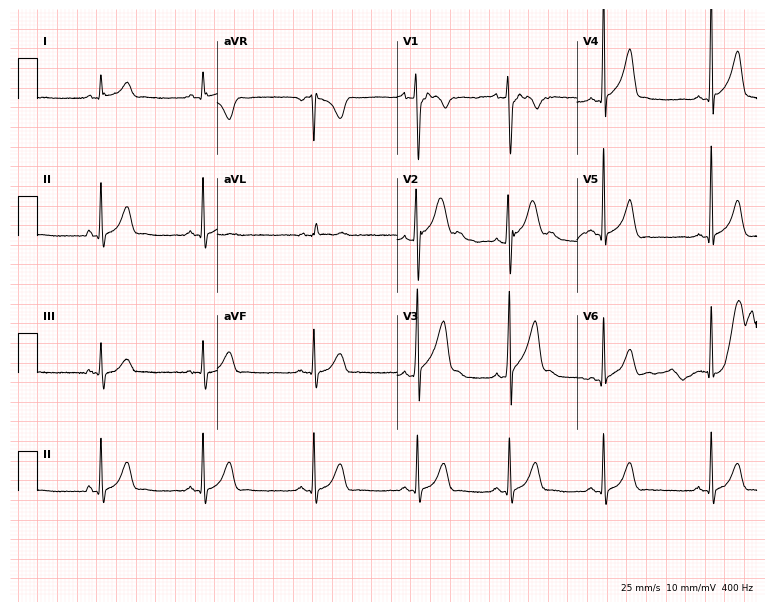
Resting 12-lead electrocardiogram. Patient: an 18-year-old man. None of these six findings is recorded: first-degree AV block, right bundle branch block (RBBB), left bundle branch block (LBBB), sinus bradycardia, atrial fibrillation (AF), sinus tachycardia.